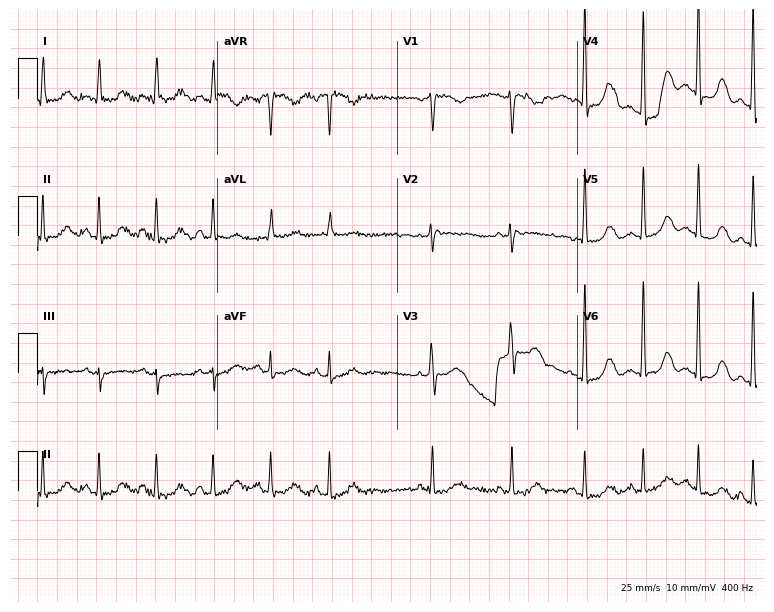
12-lead ECG from a 54-year-old female patient (7.3-second recording at 400 Hz). No first-degree AV block, right bundle branch block, left bundle branch block, sinus bradycardia, atrial fibrillation or sinus tachycardia recorded for this tracing.